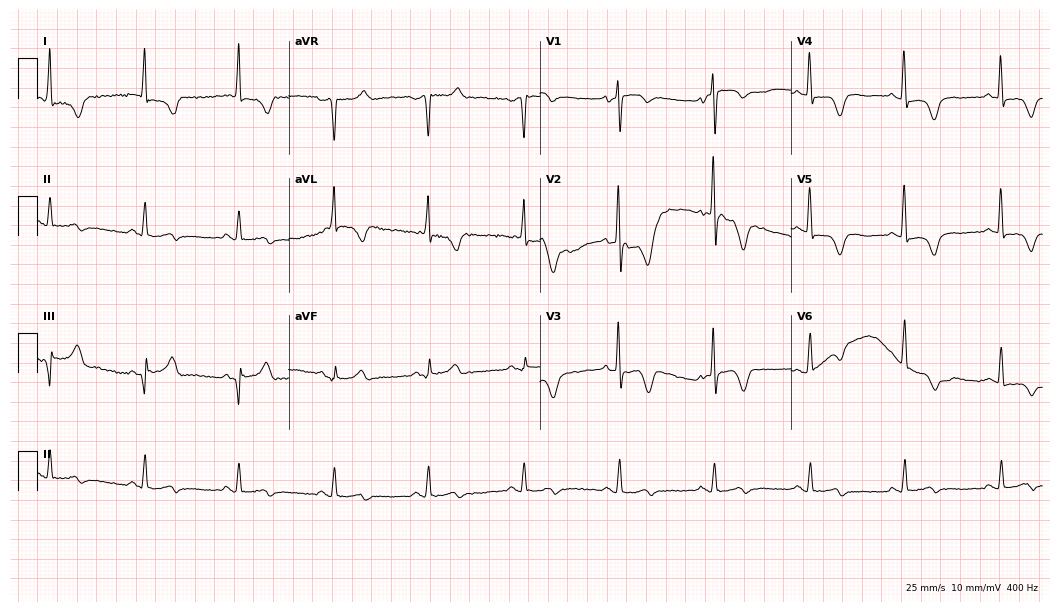
Standard 12-lead ECG recorded from a 75-year-old female (10.2-second recording at 400 Hz). None of these six findings is recorded: first-degree AV block, right bundle branch block (RBBB), left bundle branch block (LBBB), sinus bradycardia, atrial fibrillation (AF), sinus tachycardia.